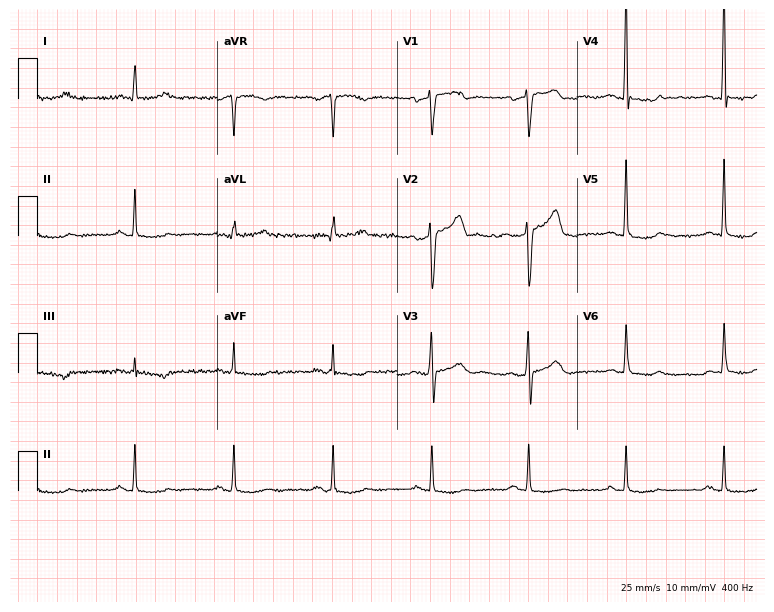
12-lead ECG from a 54-year-old man. No first-degree AV block, right bundle branch block (RBBB), left bundle branch block (LBBB), sinus bradycardia, atrial fibrillation (AF) or sinus tachycardia recorded for this tracing. Other findings, if any, are not listed.